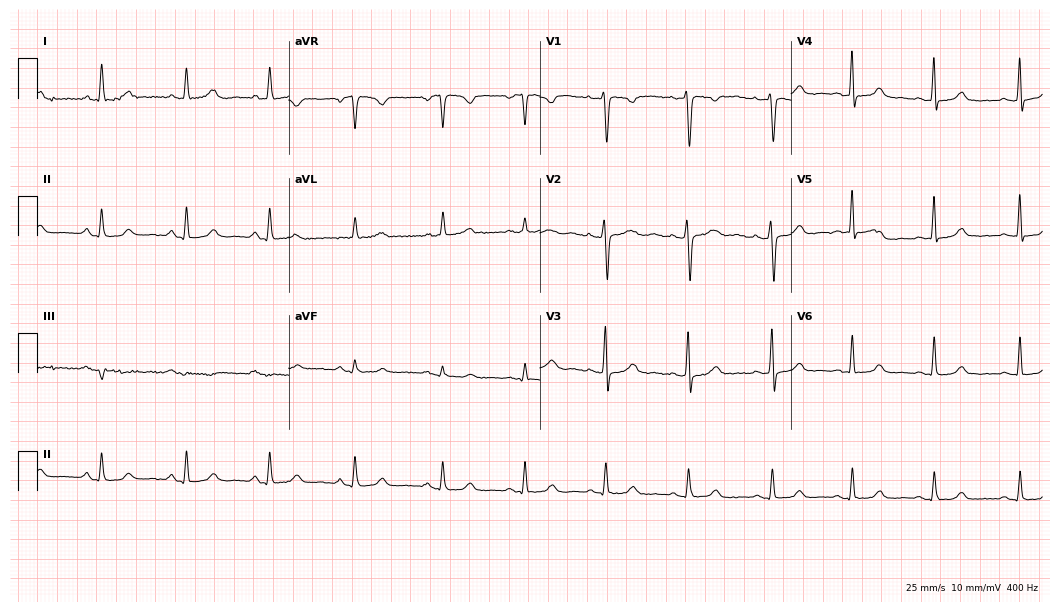
12-lead ECG from a 40-year-old female patient. Labelled as a normal ECG.